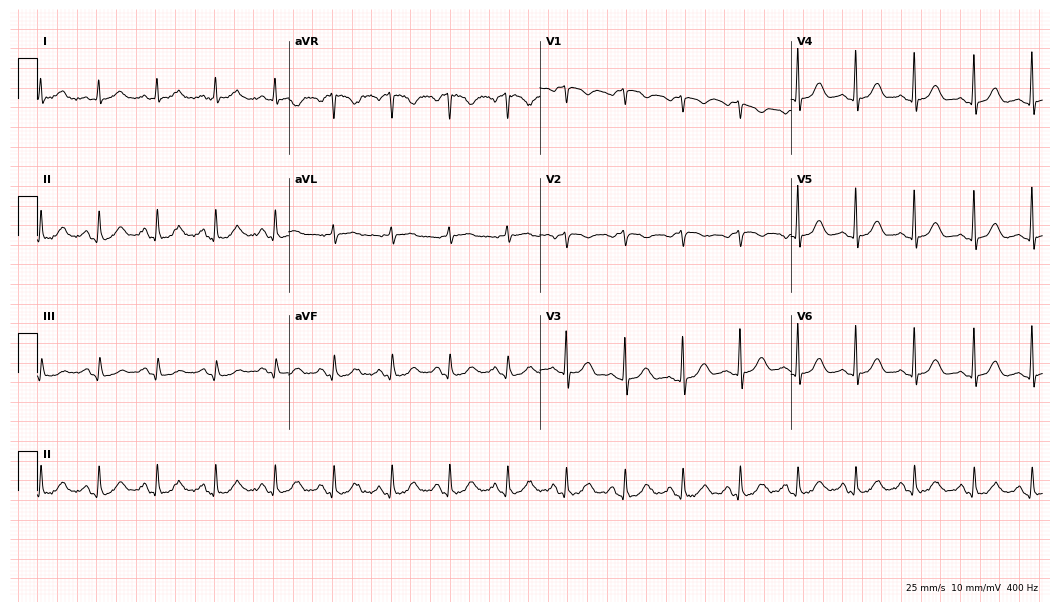
12-lead ECG (10.2-second recording at 400 Hz) from a female patient, 30 years old. Screened for six findings — first-degree AV block, right bundle branch block, left bundle branch block, sinus bradycardia, atrial fibrillation, sinus tachycardia — none is recorded.